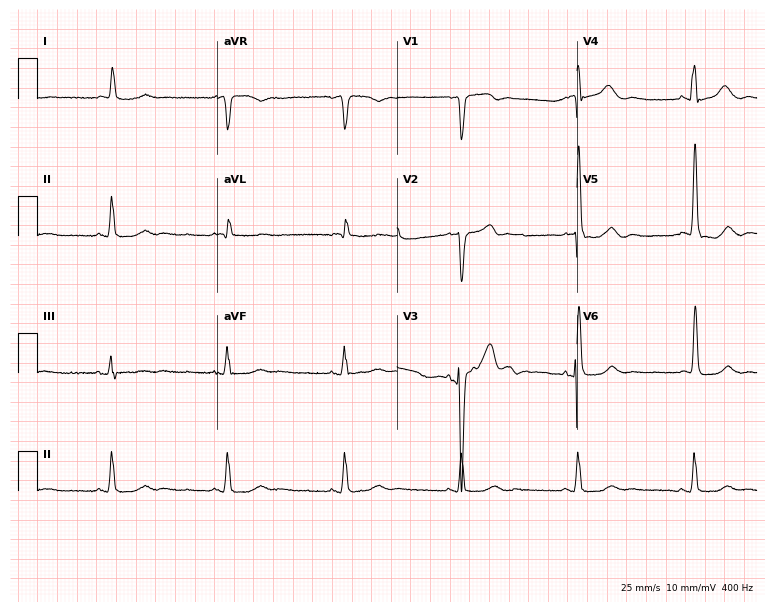
12-lead ECG from a male patient, 82 years old. Recorded interpretation: within normal limits.